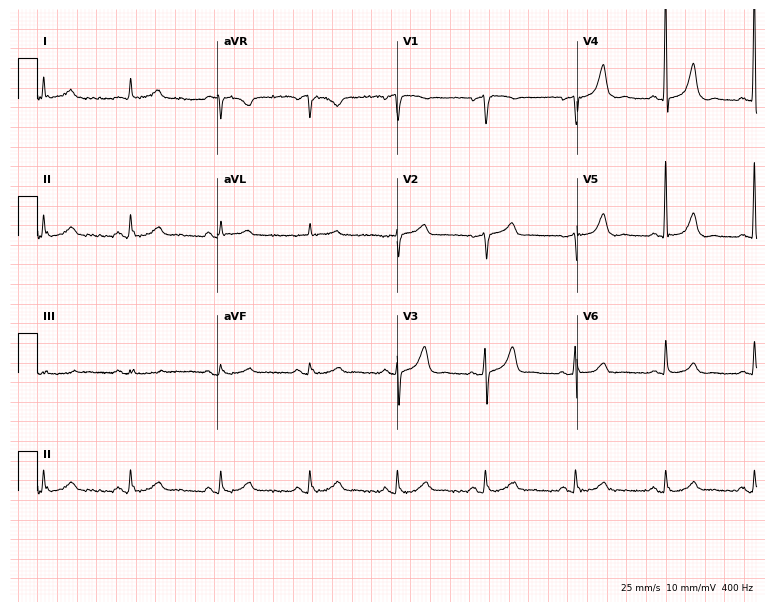
Standard 12-lead ECG recorded from a male, 80 years old (7.3-second recording at 400 Hz). Read as a normal ECG.